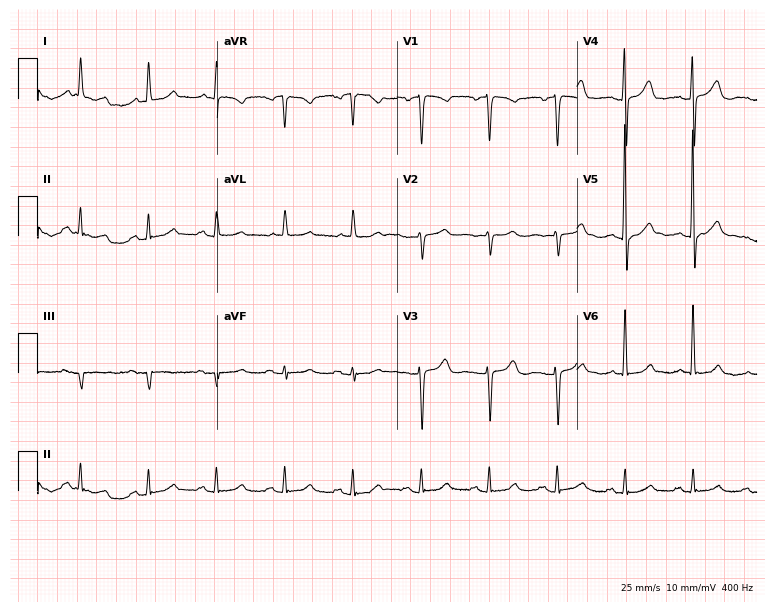
Electrocardiogram (7.3-second recording at 400 Hz), a female, 63 years old. Overall reading on record: normal ECG.